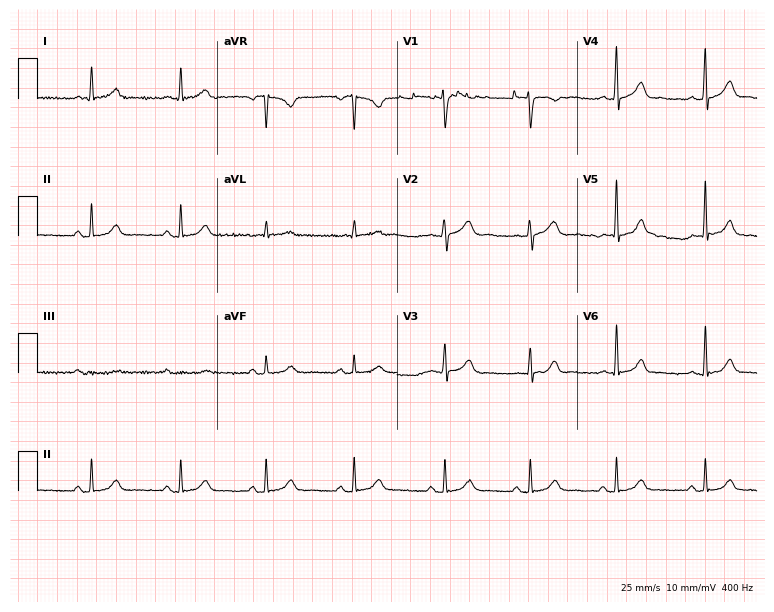
ECG (7.3-second recording at 400 Hz) — a 49-year-old female. Screened for six findings — first-degree AV block, right bundle branch block, left bundle branch block, sinus bradycardia, atrial fibrillation, sinus tachycardia — none is recorded.